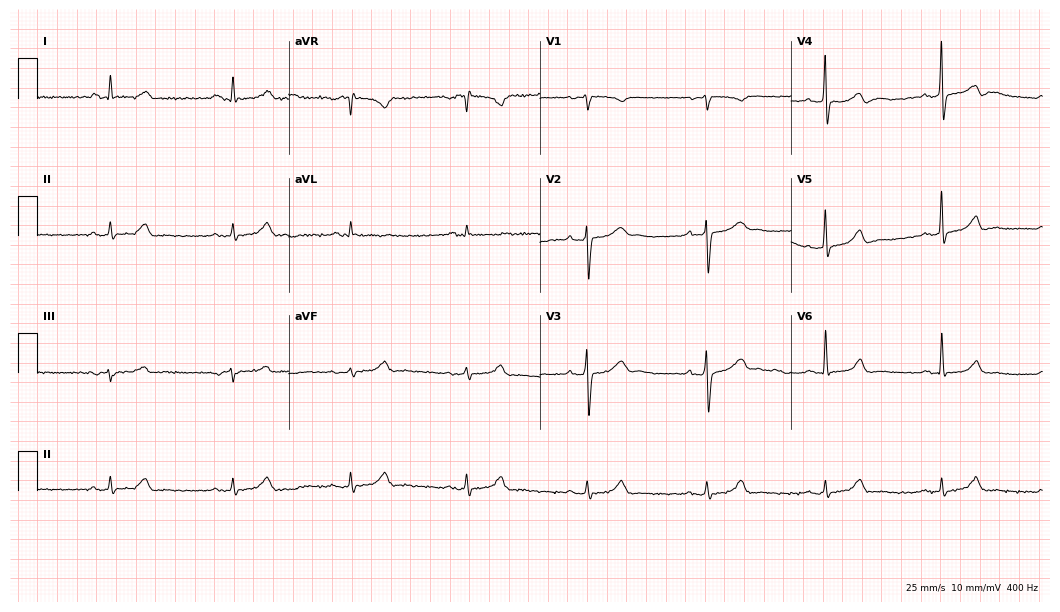
ECG — a 77-year-old male. Labelled as a normal ECG.